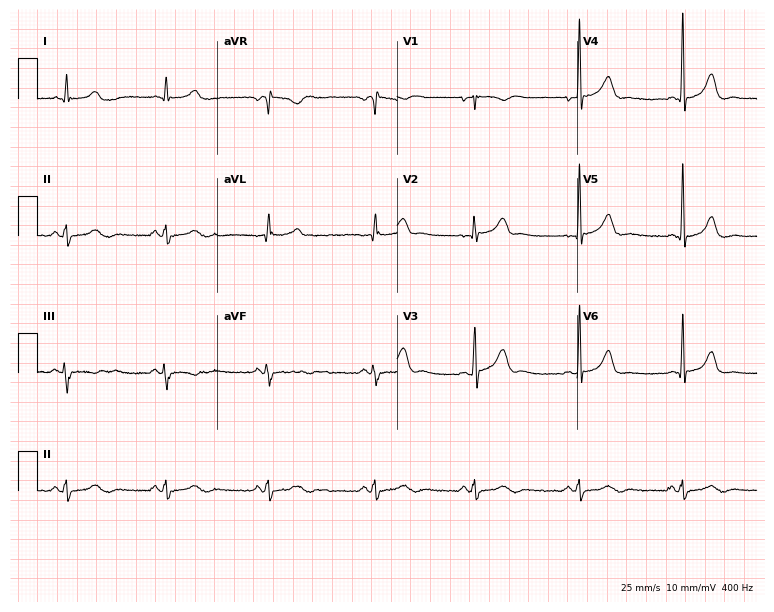
ECG (7.3-second recording at 400 Hz) — a female patient, 39 years old. Labelled as a normal ECG.